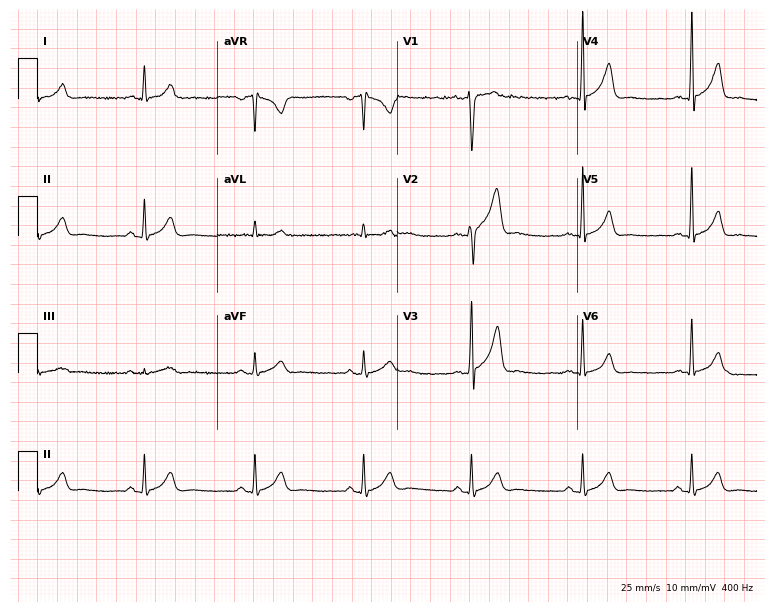
12-lead ECG from a male, 38 years old. Recorded interpretation: within normal limits.